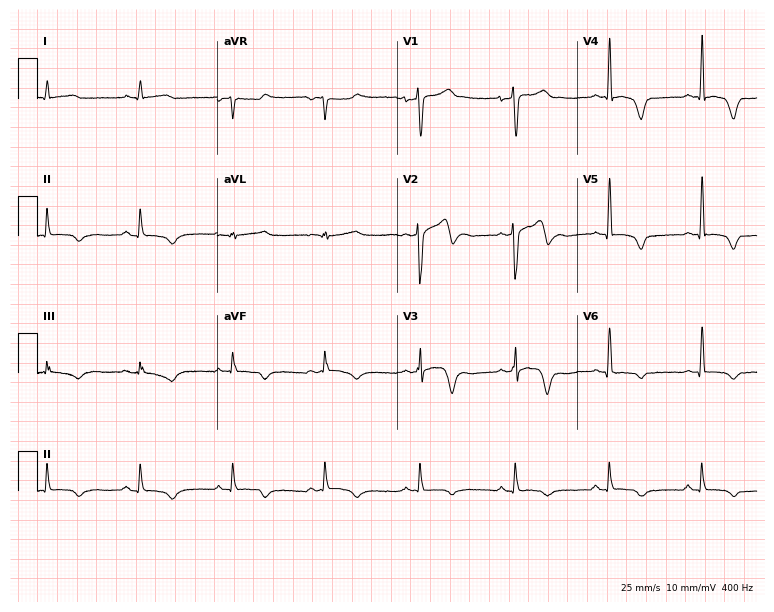
Electrocardiogram (7.3-second recording at 400 Hz), a male, 47 years old. Of the six screened findings (first-degree AV block, right bundle branch block (RBBB), left bundle branch block (LBBB), sinus bradycardia, atrial fibrillation (AF), sinus tachycardia), none is recorded. Only these six findings were labelled.